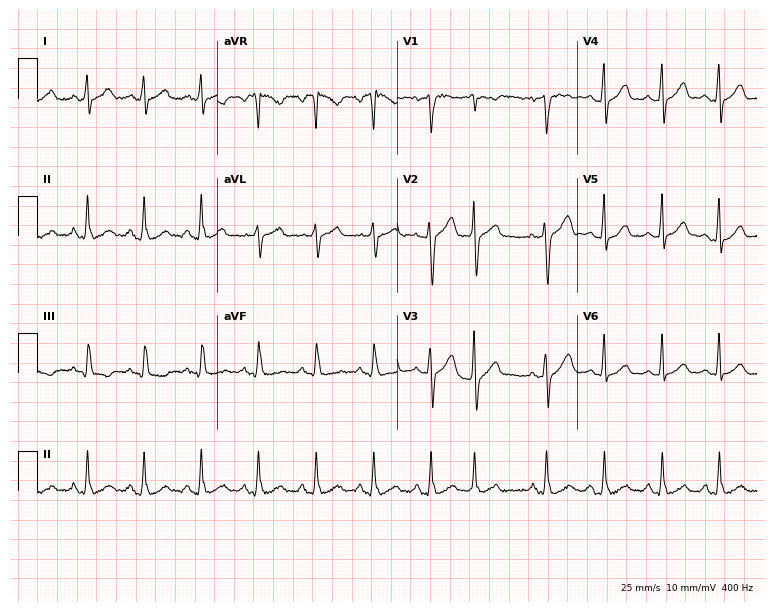
12-lead ECG from a 37-year-old man. Shows sinus tachycardia (a sinus rate of 100 beats per minute or more).